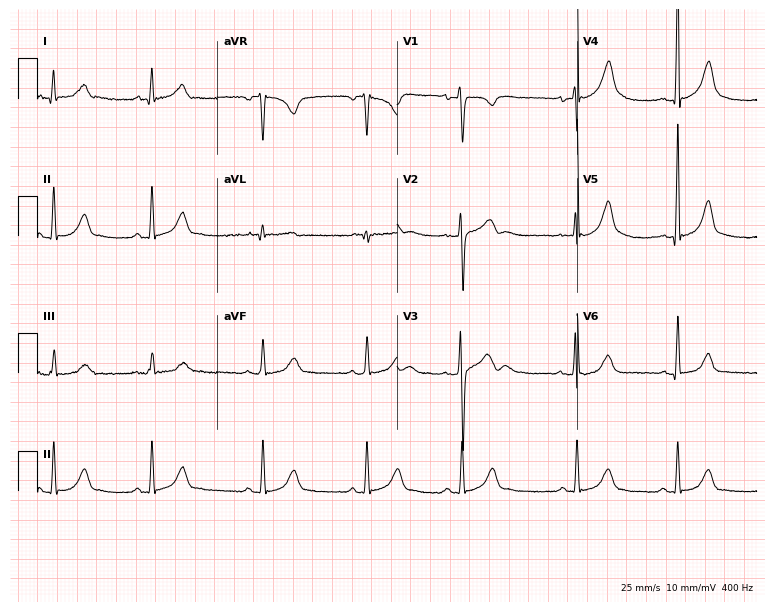
ECG — a 17-year-old man. Screened for six findings — first-degree AV block, right bundle branch block, left bundle branch block, sinus bradycardia, atrial fibrillation, sinus tachycardia — none is recorded. Findings outside these six are not listed.